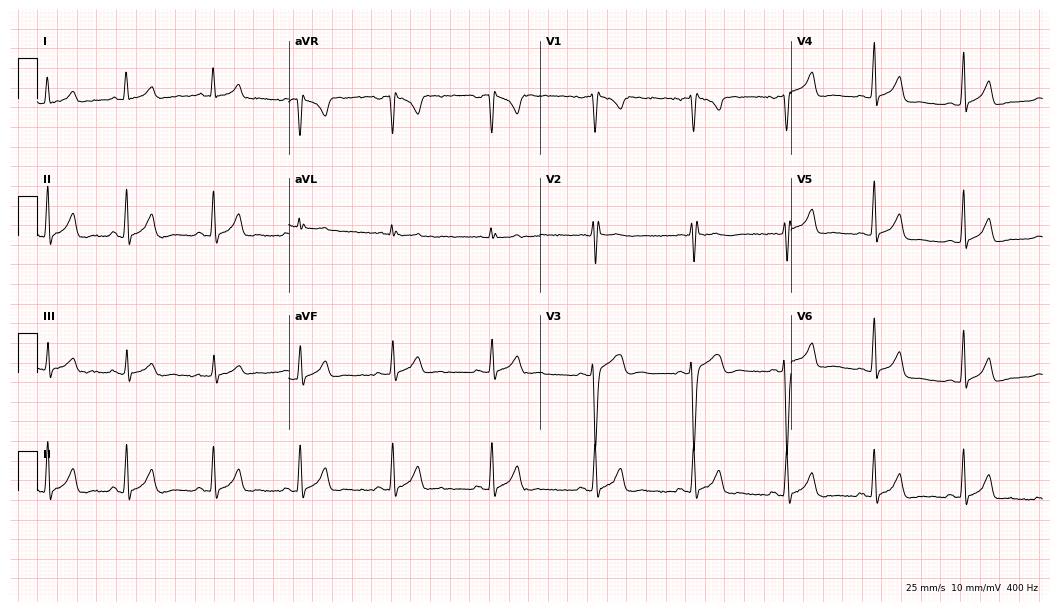
Standard 12-lead ECG recorded from a 27-year-old female patient. None of these six findings is recorded: first-degree AV block, right bundle branch block (RBBB), left bundle branch block (LBBB), sinus bradycardia, atrial fibrillation (AF), sinus tachycardia.